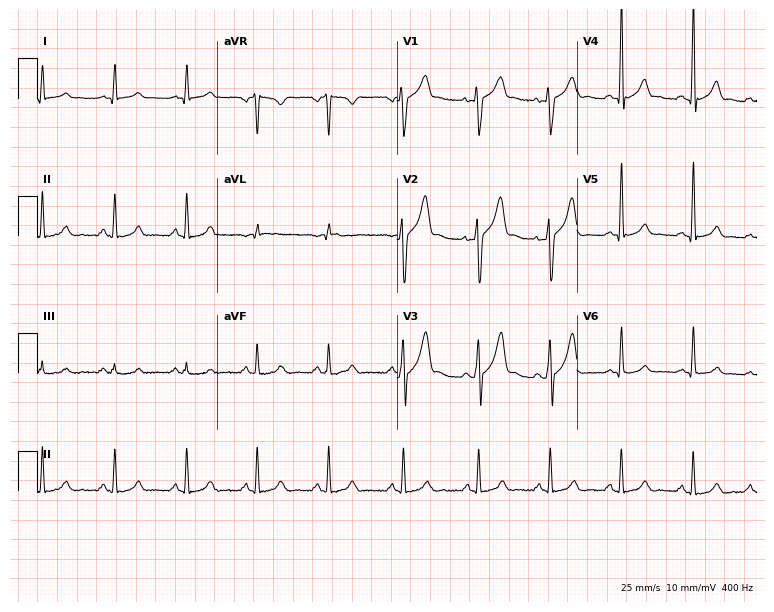
ECG — a 39-year-old male patient. Labelled as a normal ECG.